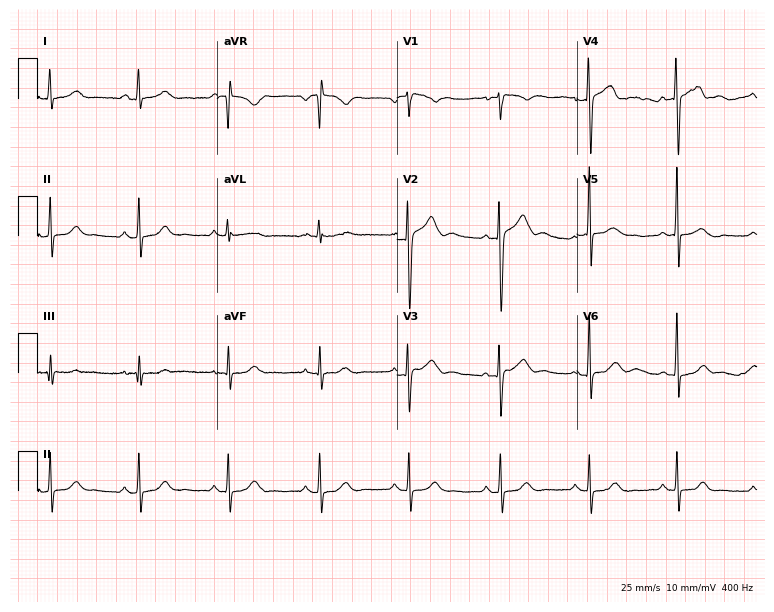
ECG — a 20-year-old female patient. Labelled as a normal ECG.